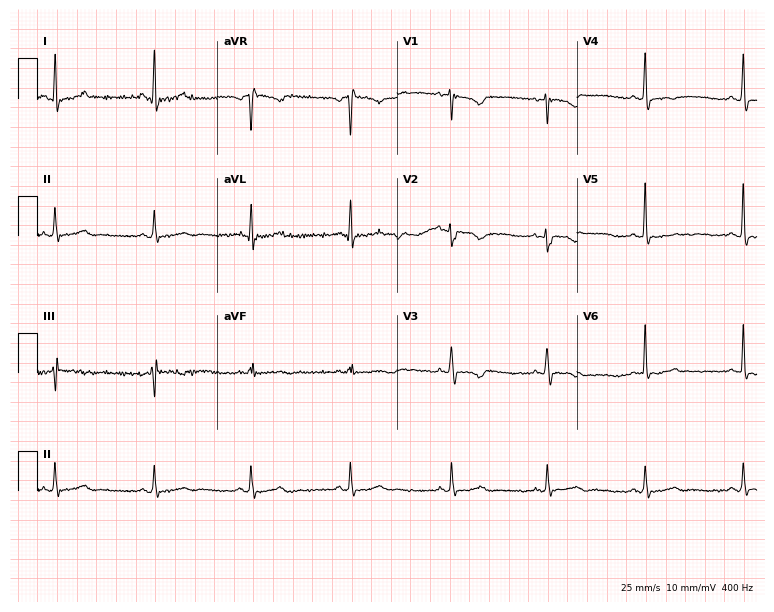
12-lead ECG from a 33-year-old woman (7.3-second recording at 400 Hz). No first-degree AV block, right bundle branch block, left bundle branch block, sinus bradycardia, atrial fibrillation or sinus tachycardia recorded for this tracing. Only these six findings were labelled.